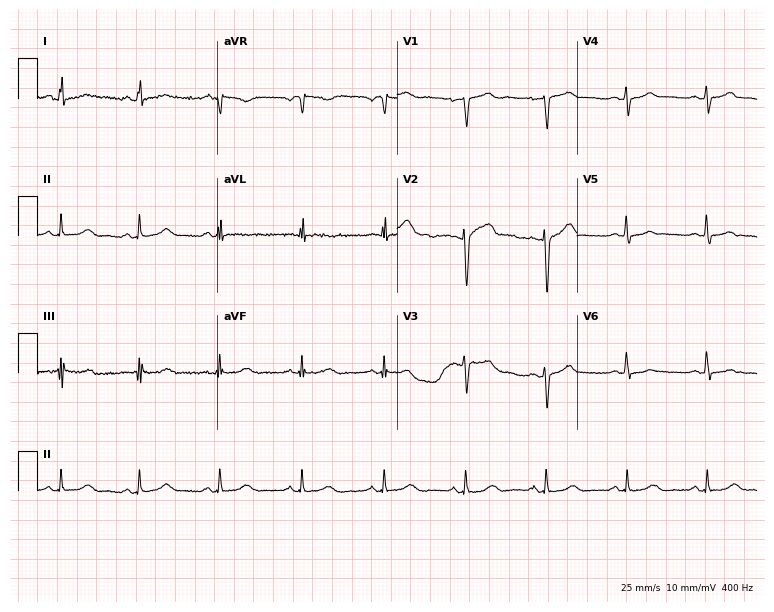
Standard 12-lead ECG recorded from a 33-year-old female (7.3-second recording at 400 Hz). None of these six findings is recorded: first-degree AV block, right bundle branch block (RBBB), left bundle branch block (LBBB), sinus bradycardia, atrial fibrillation (AF), sinus tachycardia.